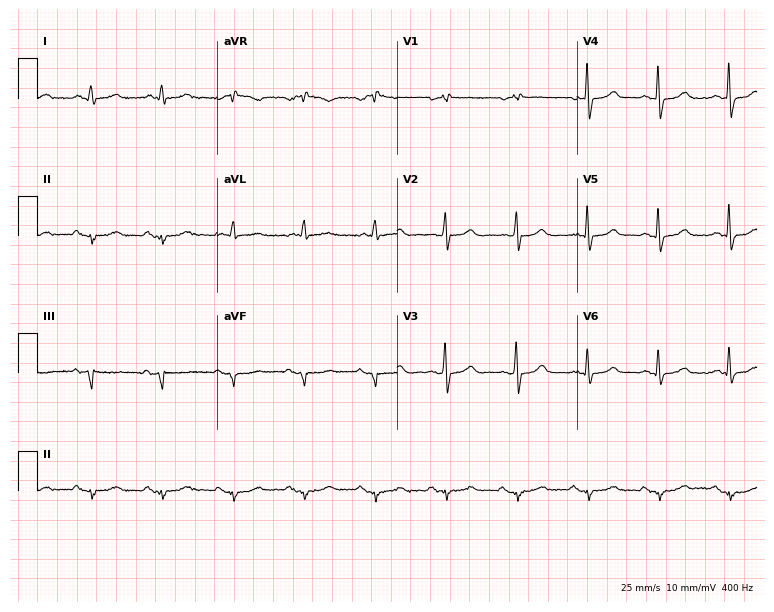
Standard 12-lead ECG recorded from an 81-year-old man (7.3-second recording at 400 Hz). None of these six findings is recorded: first-degree AV block, right bundle branch block (RBBB), left bundle branch block (LBBB), sinus bradycardia, atrial fibrillation (AF), sinus tachycardia. Findings outside these six are not listed.